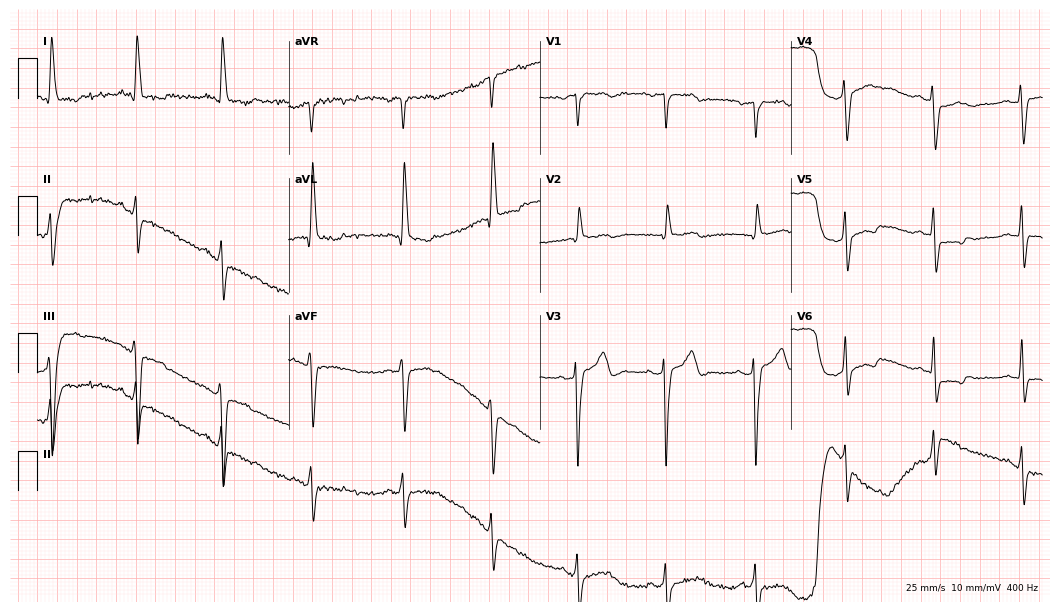
Resting 12-lead electrocardiogram (10.2-second recording at 400 Hz). Patient: a 71-year-old woman. None of these six findings is recorded: first-degree AV block, right bundle branch block (RBBB), left bundle branch block (LBBB), sinus bradycardia, atrial fibrillation (AF), sinus tachycardia.